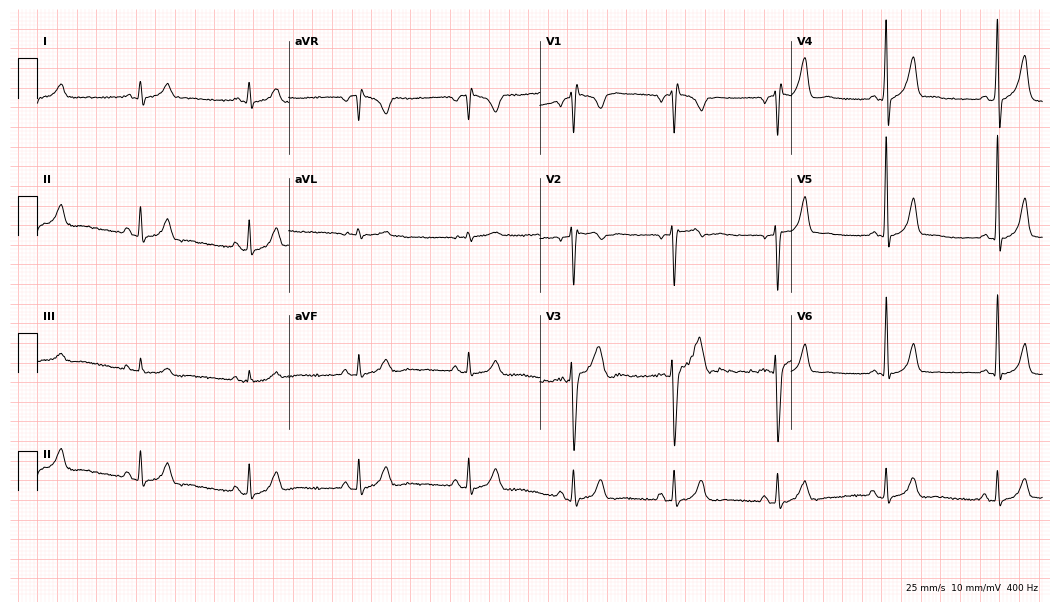
12-lead ECG from a male, 46 years old. Screened for six findings — first-degree AV block, right bundle branch block (RBBB), left bundle branch block (LBBB), sinus bradycardia, atrial fibrillation (AF), sinus tachycardia — none is recorded. Only these six findings were labelled.